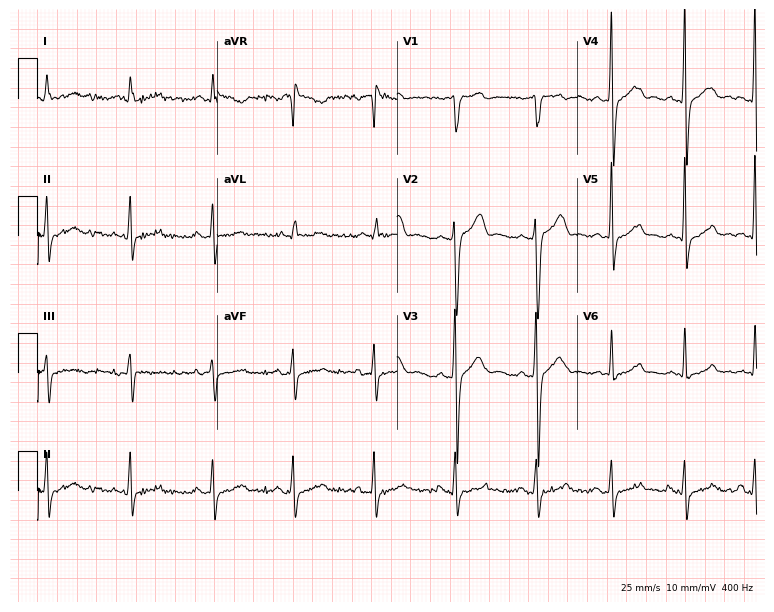
12-lead ECG from a man, 44 years old (7.3-second recording at 400 Hz). No first-degree AV block, right bundle branch block (RBBB), left bundle branch block (LBBB), sinus bradycardia, atrial fibrillation (AF) or sinus tachycardia recorded for this tracing. Findings outside these six are not listed.